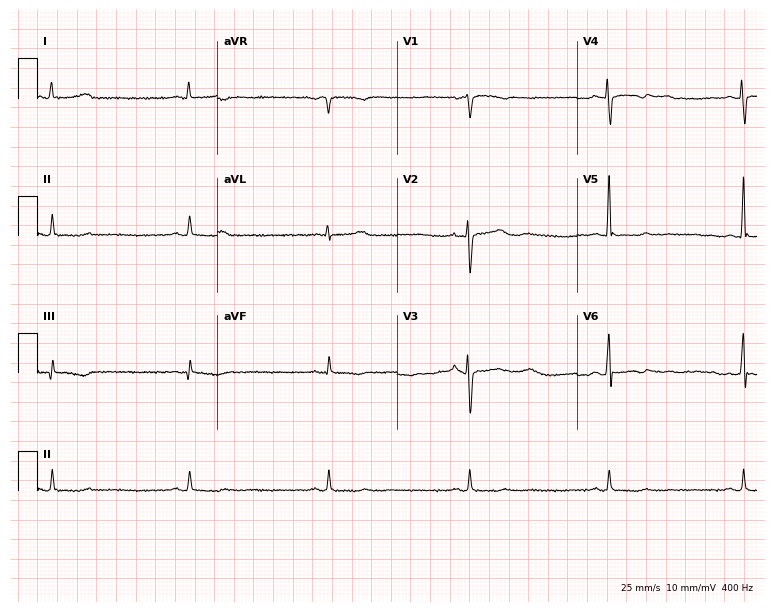
Resting 12-lead electrocardiogram. Patient: a female, 57 years old. None of these six findings is recorded: first-degree AV block, right bundle branch block, left bundle branch block, sinus bradycardia, atrial fibrillation, sinus tachycardia. Other findings, if any, are not listed.